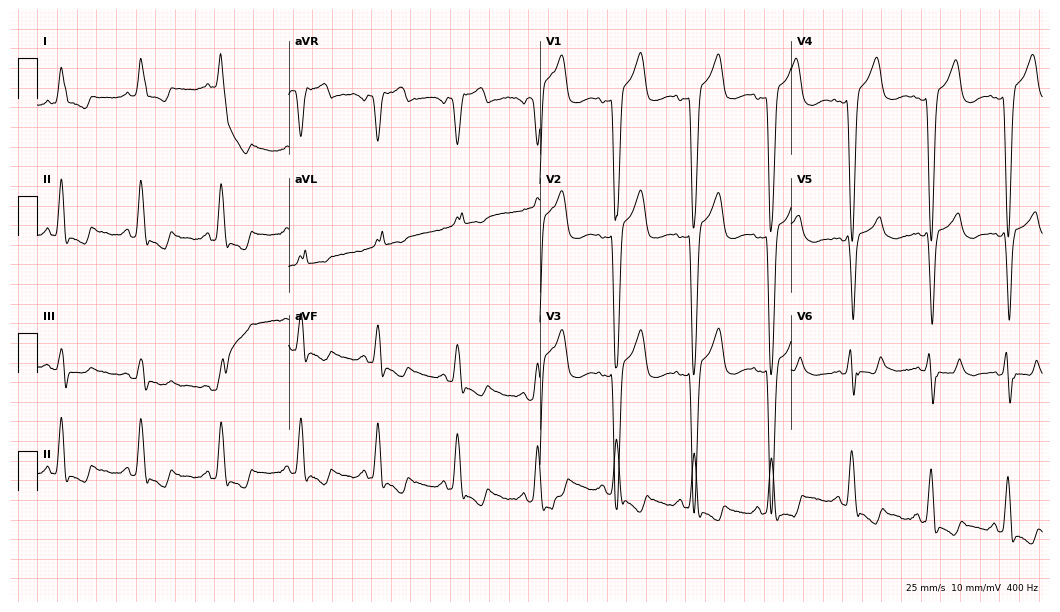
ECG (10.2-second recording at 400 Hz) — an 80-year-old woman. Screened for six findings — first-degree AV block, right bundle branch block (RBBB), left bundle branch block (LBBB), sinus bradycardia, atrial fibrillation (AF), sinus tachycardia — none is recorded. Findings outside these six are not listed.